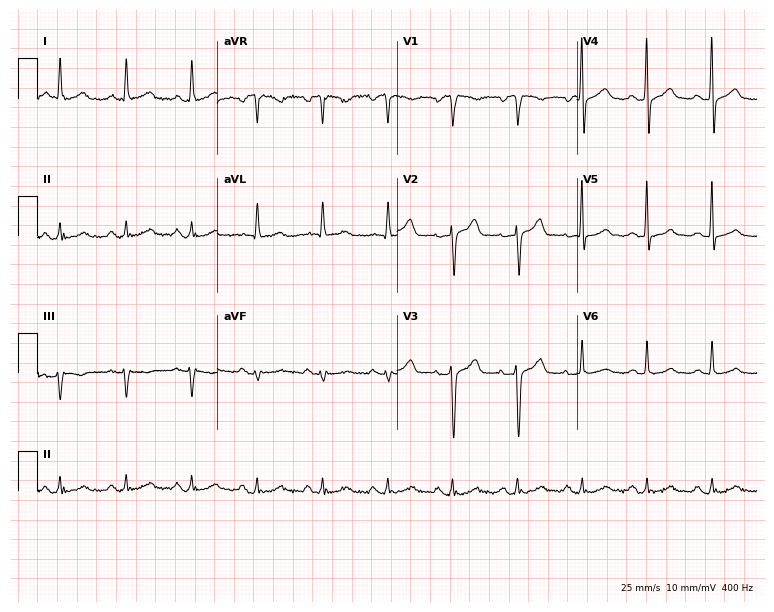
Standard 12-lead ECG recorded from a 63-year-old man (7.3-second recording at 400 Hz). None of these six findings is recorded: first-degree AV block, right bundle branch block, left bundle branch block, sinus bradycardia, atrial fibrillation, sinus tachycardia.